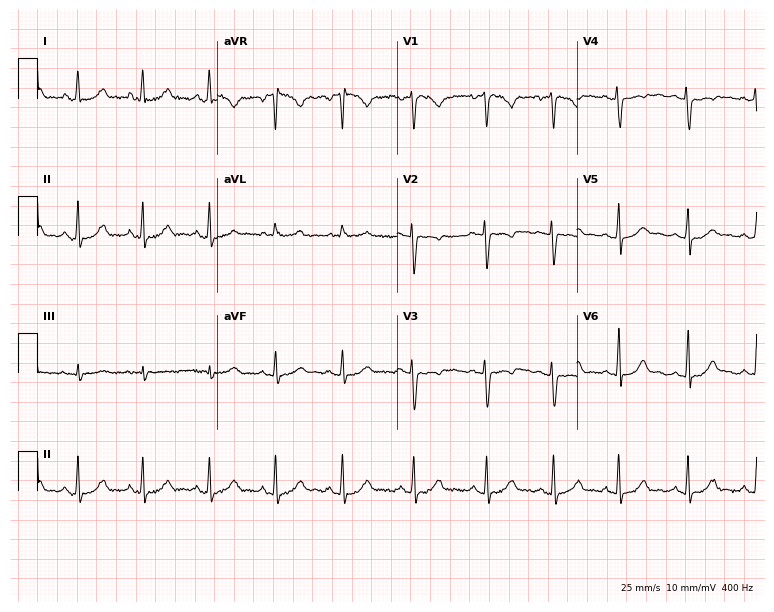
12-lead ECG from a 23-year-old female. Recorded interpretation: within normal limits.